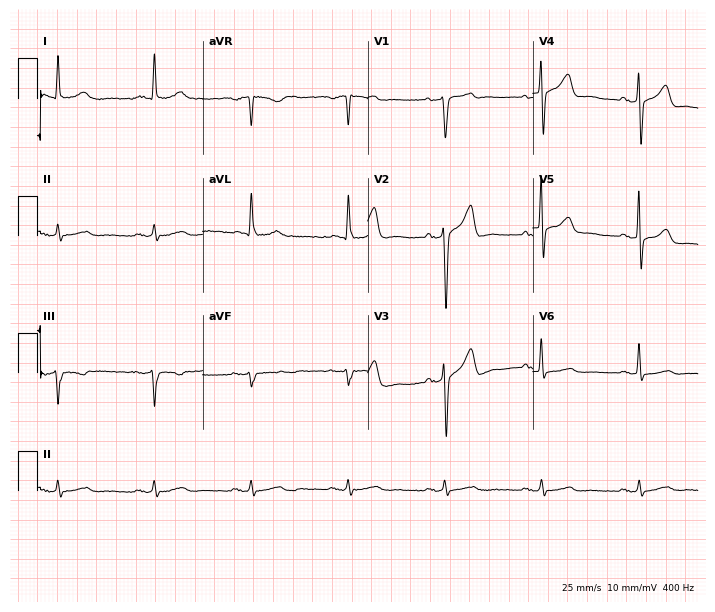
12-lead ECG from a man, 70 years old (6.7-second recording at 400 Hz). No first-degree AV block, right bundle branch block (RBBB), left bundle branch block (LBBB), sinus bradycardia, atrial fibrillation (AF) or sinus tachycardia recorded for this tracing.